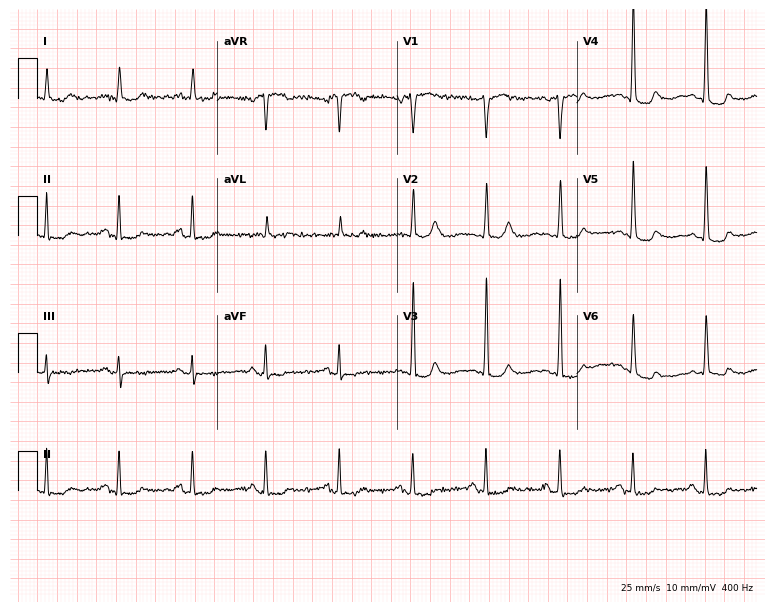
12-lead ECG from a 72-year-old woman. No first-degree AV block, right bundle branch block (RBBB), left bundle branch block (LBBB), sinus bradycardia, atrial fibrillation (AF) or sinus tachycardia recorded for this tracing.